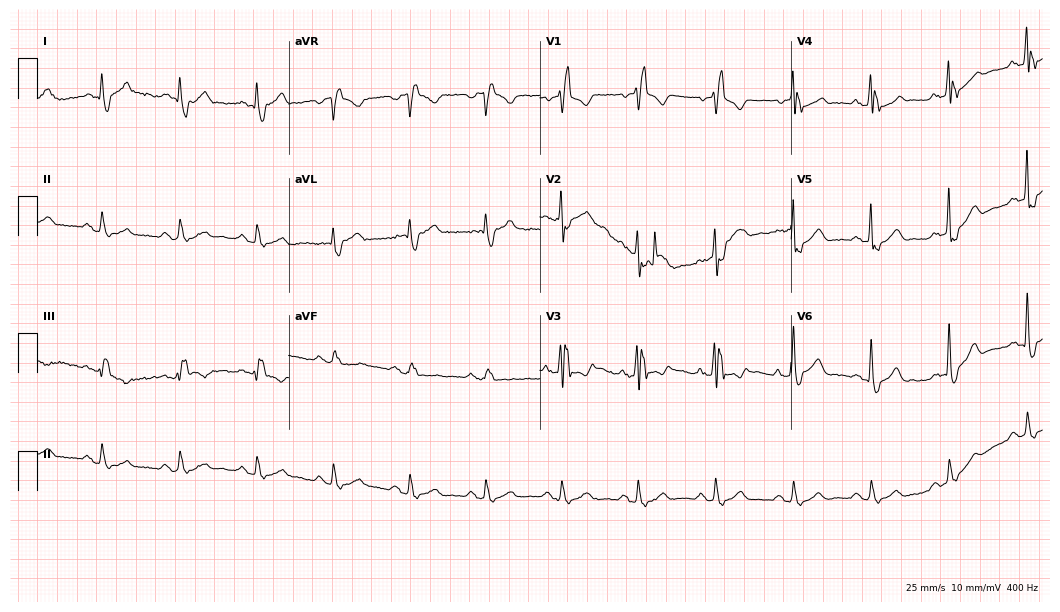
Standard 12-lead ECG recorded from a male, 79 years old. The tracing shows right bundle branch block.